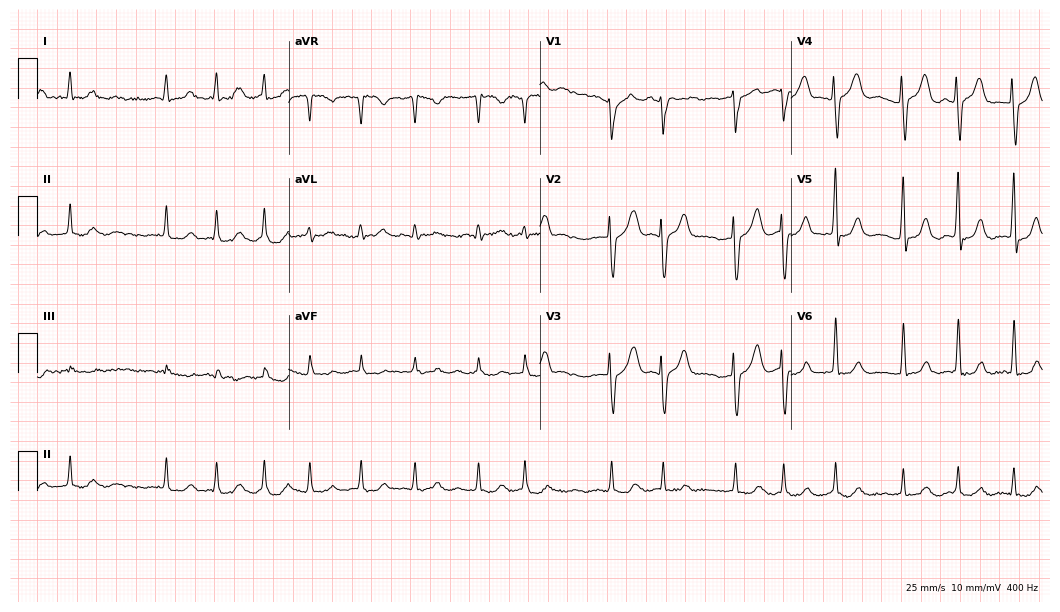
12-lead ECG from a man, 82 years old. Findings include atrial fibrillation.